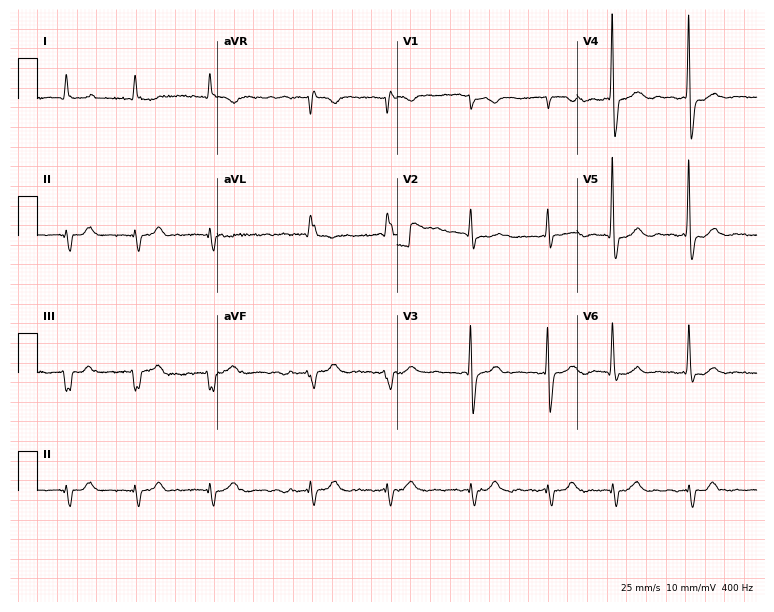
Standard 12-lead ECG recorded from a man, 83 years old (7.3-second recording at 400 Hz). None of these six findings is recorded: first-degree AV block, right bundle branch block (RBBB), left bundle branch block (LBBB), sinus bradycardia, atrial fibrillation (AF), sinus tachycardia. Other findings, if any, are not listed.